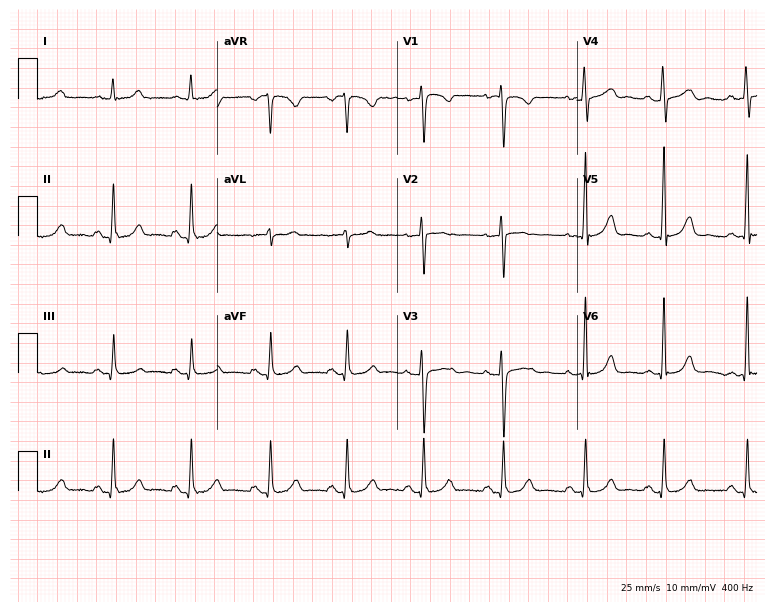
Resting 12-lead electrocardiogram (7.3-second recording at 400 Hz). Patient: a 42-year-old woman. Read as a normal ECG.